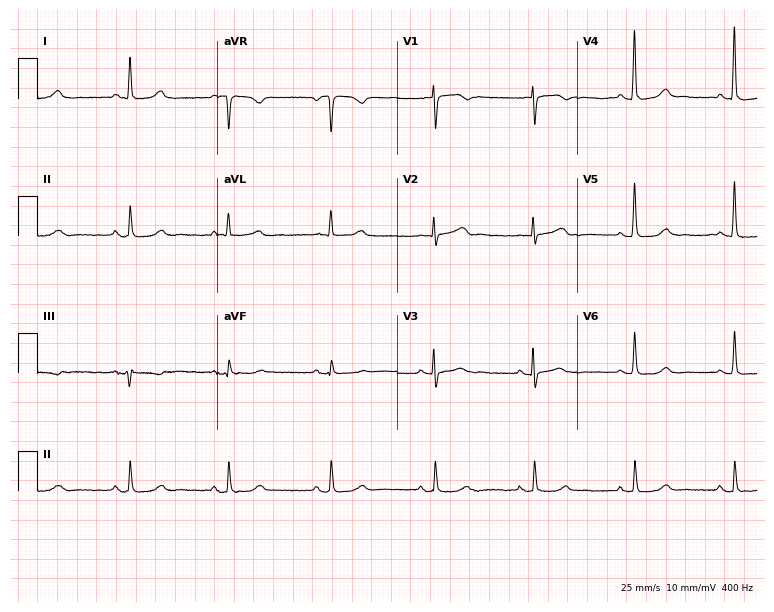
Standard 12-lead ECG recorded from a female patient, 81 years old (7.3-second recording at 400 Hz). Read as a normal ECG.